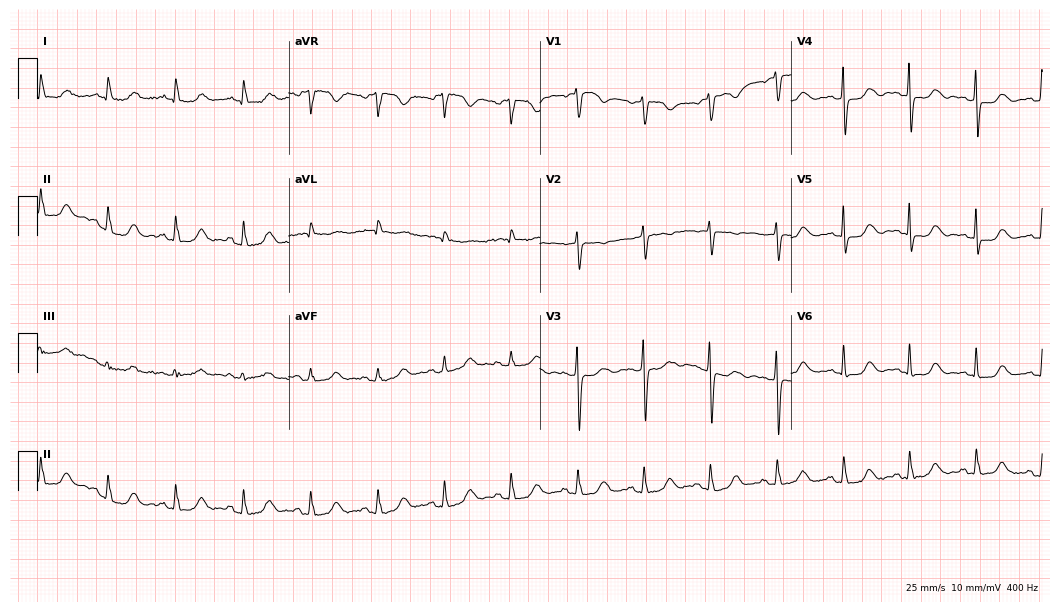
Standard 12-lead ECG recorded from a woman, 75 years old. None of these six findings is recorded: first-degree AV block, right bundle branch block (RBBB), left bundle branch block (LBBB), sinus bradycardia, atrial fibrillation (AF), sinus tachycardia.